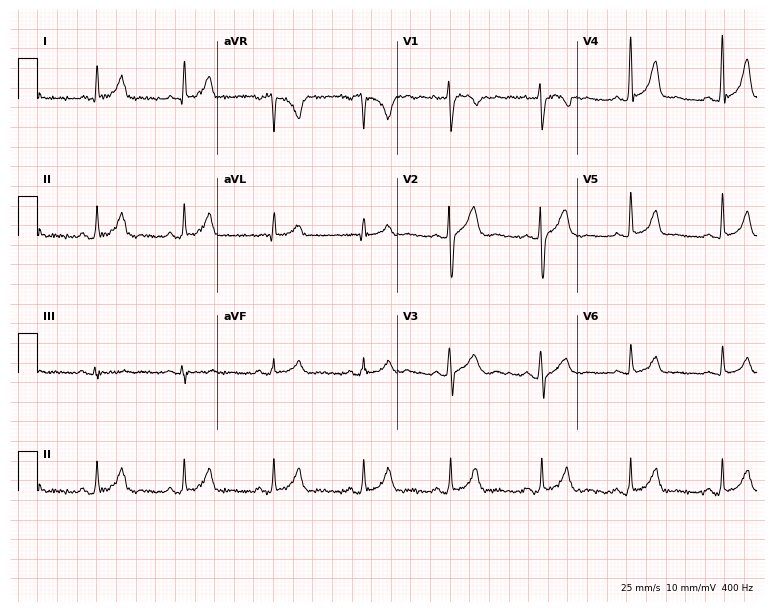
Electrocardiogram, a 36-year-old man. Of the six screened findings (first-degree AV block, right bundle branch block (RBBB), left bundle branch block (LBBB), sinus bradycardia, atrial fibrillation (AF), sinus tachycardia), none is recorded.